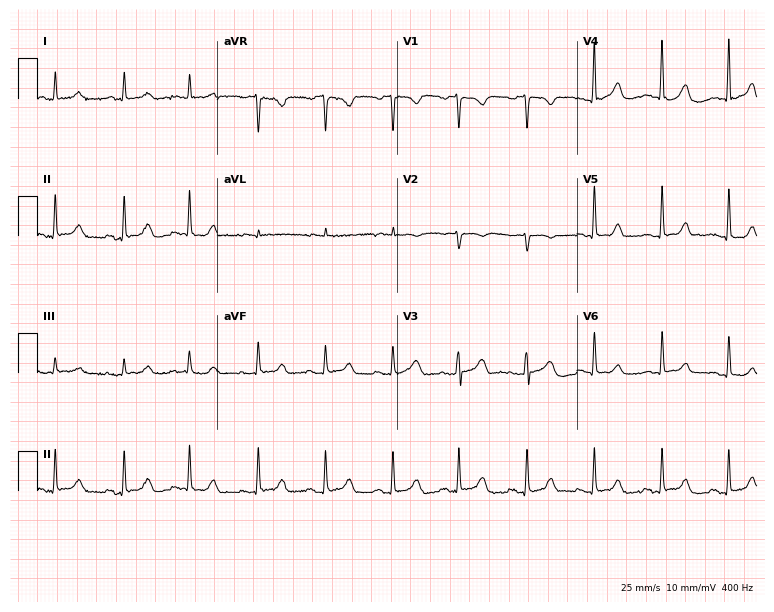
Standard 12-lead ECG recorded from a female patient, 77 years old. None of these six findings is recorded: first-degree AV block, right bundle branch block (RBBB), left bundle branch block (LBBB), sinus bradycardia, atrial fibrillation (AF), sinus tachycardia. Other findings, if any, are not listed.